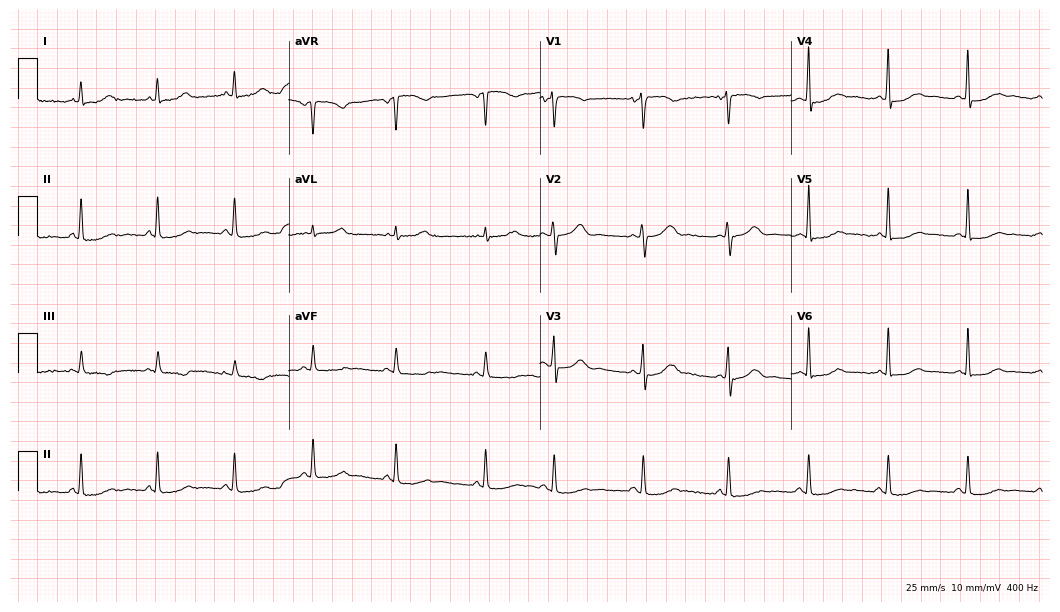
12-lead ECG from a 57-year-old female patient (10.2-second recording at 400 Hz). No first-degree AV block, right bundle branch block (RBBB), left bundle branch block (LBBB), sinus bradycardia, atrial fibrillation (AF) or sinus tachycardia recorded for this tracing.